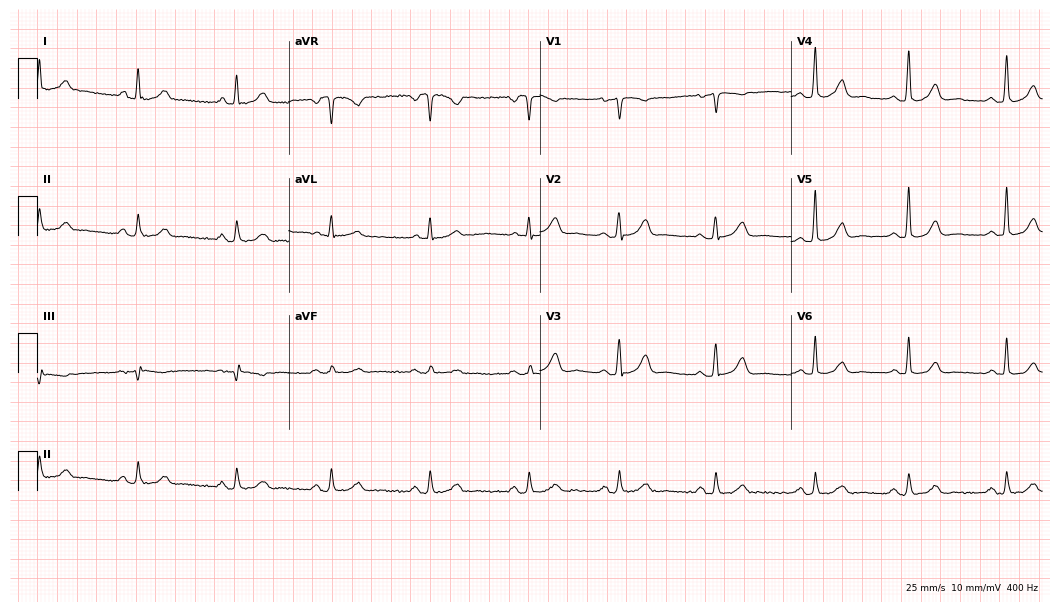
ECG (10.2-second recording at 400 Hz) — a 40-year-old female. Labelled as a normal ECG.